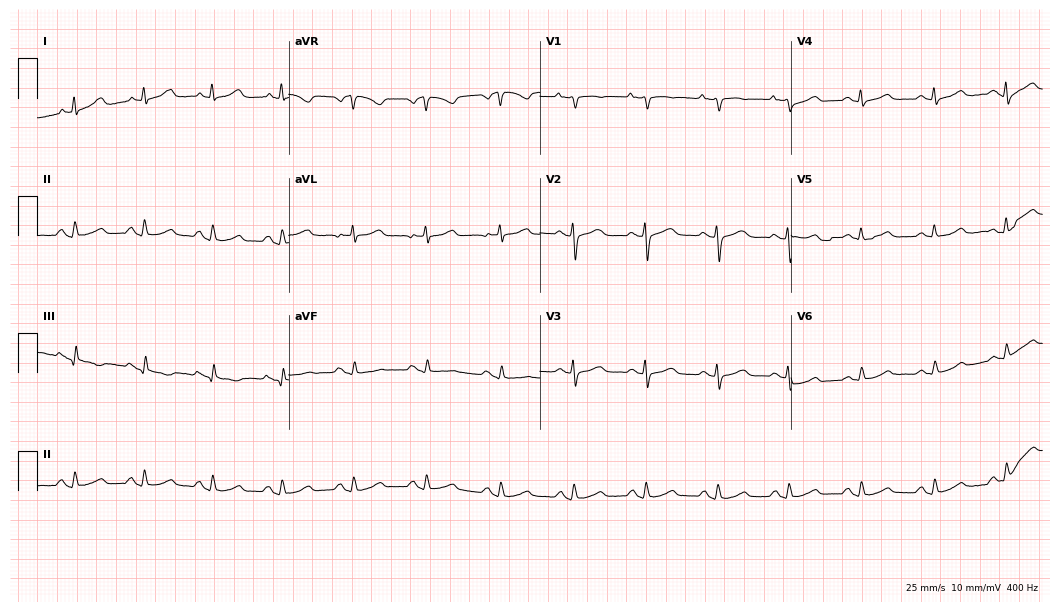
Resting 12-lead electrocardiogram (10.2-second recording at 400 Hz). Patient: a 65-year-old woman. Read as a normal ECG.